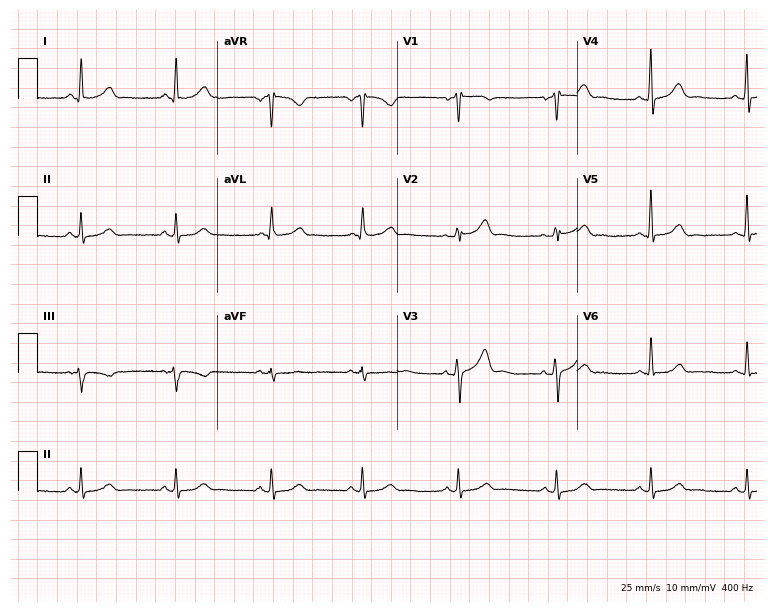
Standard 12-lead ECG recorded from a 56-year-old woman. Read as a normal ECG.